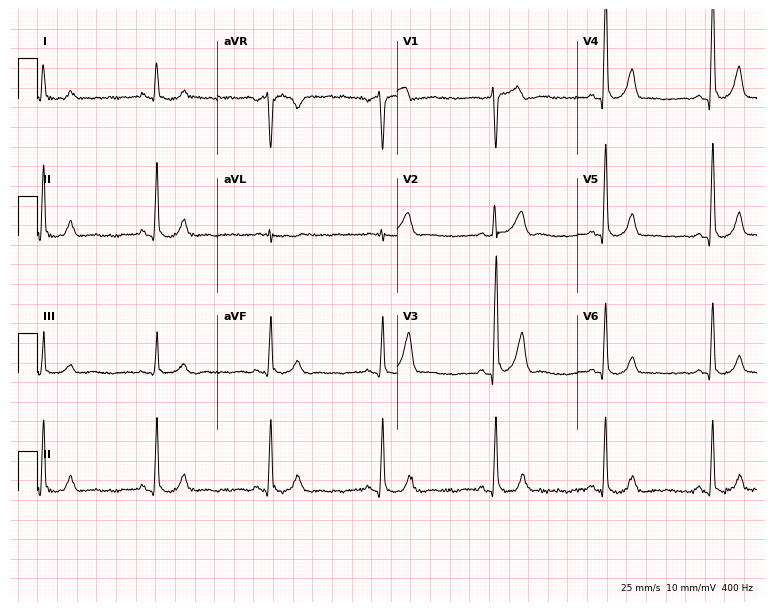
ECG (7.3-second recording at 400 Hz) — a 66-year-old male patient. Screened for six findings — first-degree AV block, right bundle branch block (RBBB), left bundle branch block (LBBB), sinus bradycardia, atrial fibrillation (AF), sinus tachycardia — none is recorded.